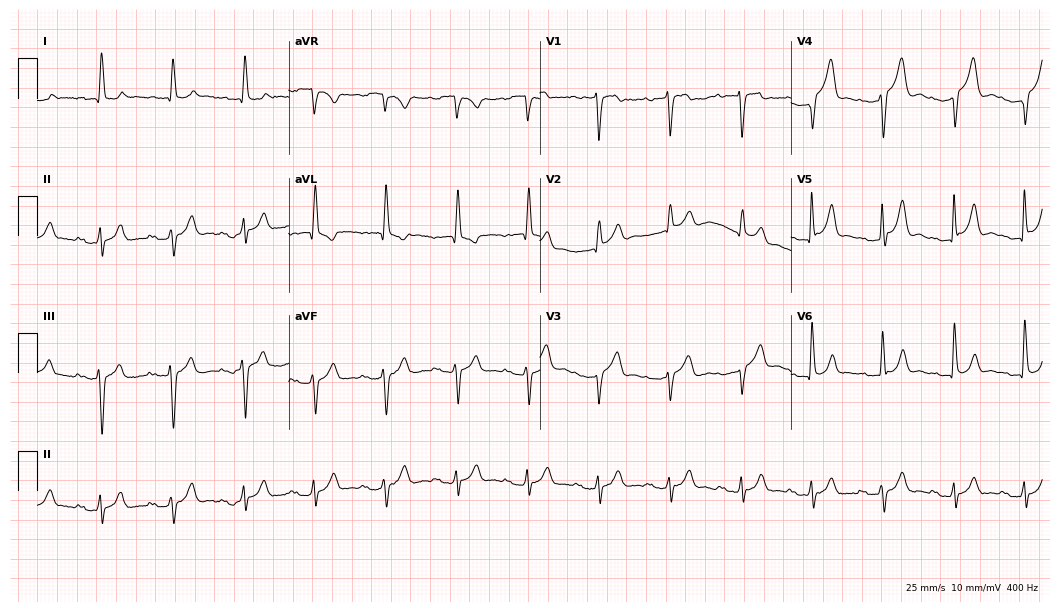
Standard 12-lead ECG recorded from a female patient, 80 years old. The tracing shows first-degree AV block.